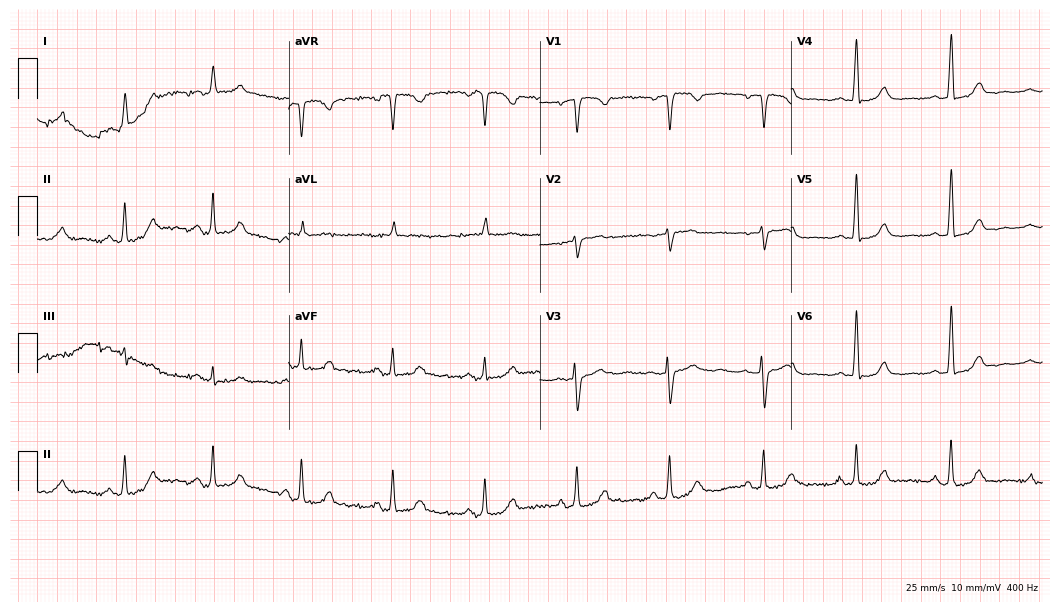
Resting 12-lead electrocardiogram. Patient: a 64-year-old woman. Read as a normal ECG.